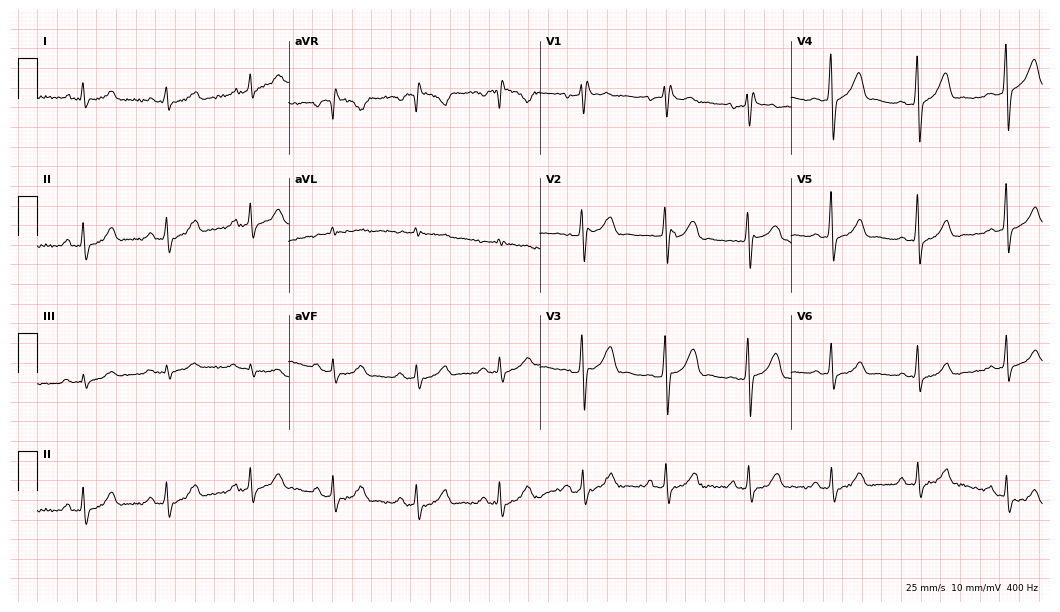
12-lead ECG from a male, 60 years old. Screened for six findings — first-degree AV block, right bundle branch block, left bundle branch block, sinus bradycardia, atrial fibrillation, sinus tachycardia — none is recorded. Only these six findings were labelled.